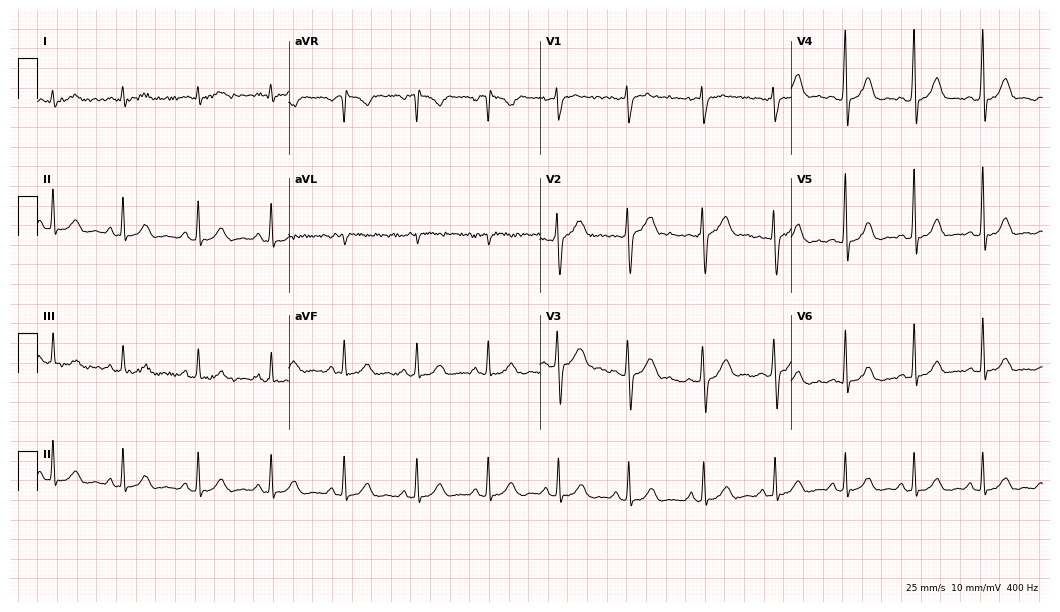
Standard 12-lead ECG recorded from a male, 41 years old (10.2-second recording at 400 Hz). Read as a normal ECG.